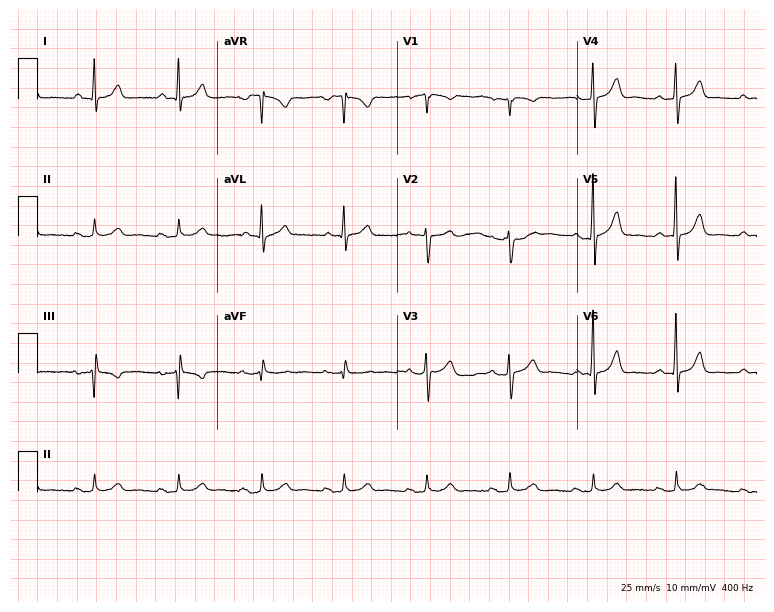
Electrocardiogram, a man, 61 years old. Of the six screened findings (first-degree AV block, right bundle branch block, left bundle branch block, sinus bradycardia, atrial fibrillation, sinus tachycardia), none is recorded. Only these six findings were labelled.